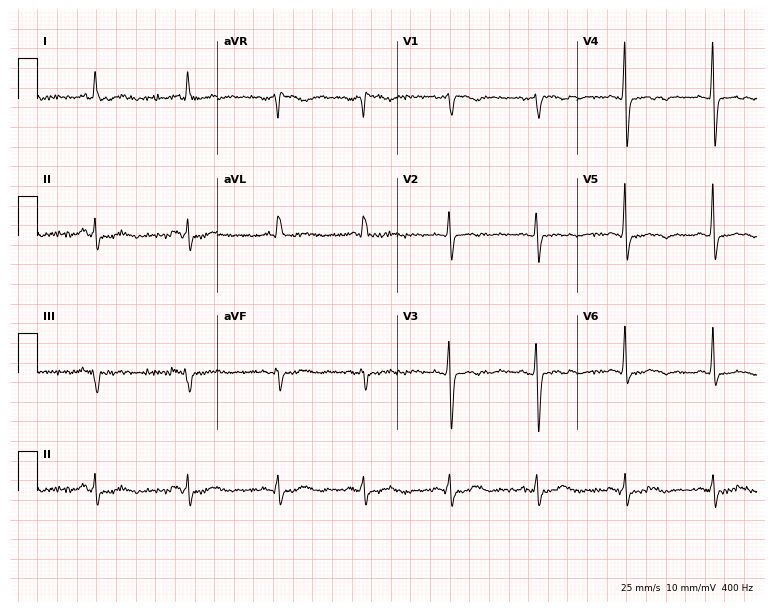
12-lead ECG from a female, 72 years old. Screened for six findings — first-degree AV block, right bundle branch block, left bundle branch block, sinus bradycardia, atrial fibrillation, sinus tachycardia — none is recorded. Only these six findings were labelled.